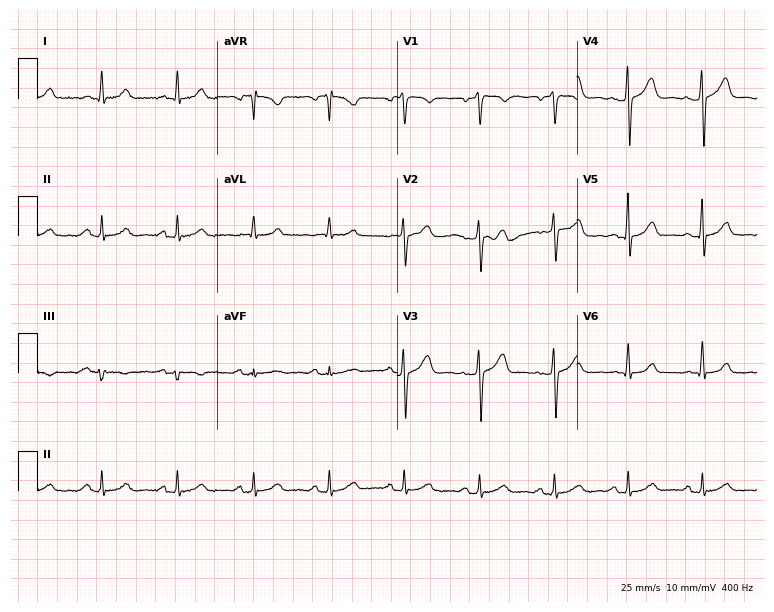
Electrocardiogram (7.3-second recording at 400 Hz), a 48-year-old woman. Of the six screened findings (first-degree AV block, right bundle branch block (RBBB), left bundle branch block (LBBB), sinus bradycardia, atrial fibrillation (AF), sinus tachycardia), none is recorded. Only these six findings were labelled.